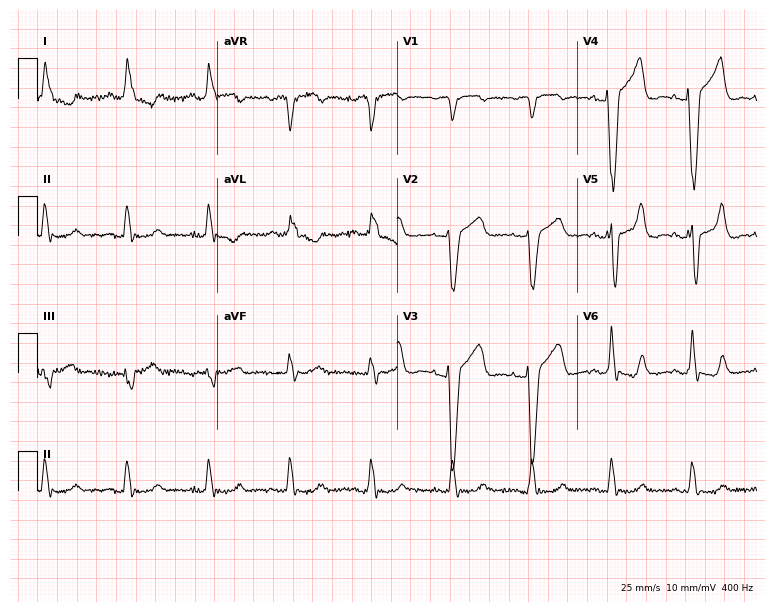
ECG (7.3-second recording at 400 Hz) — a woman, 70 years old. Findings include left bundle branch block.